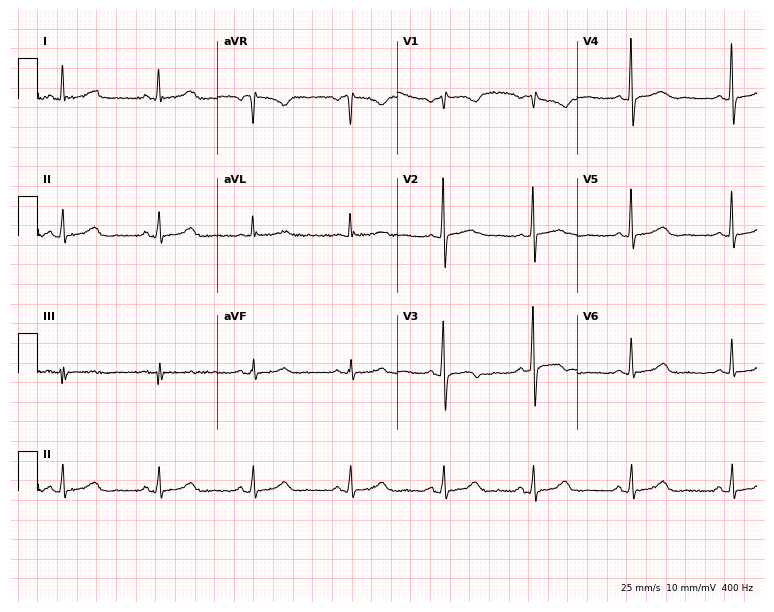
12-lead ECG from a 71-year-old female patient. Screened for six findings — first-degree AV block, right bundle branch block (RBBB), left bundle branch block (LBBB), sinus bradycardia, atrial fibrillation (AF), sinus tachycardia — none is recorded.